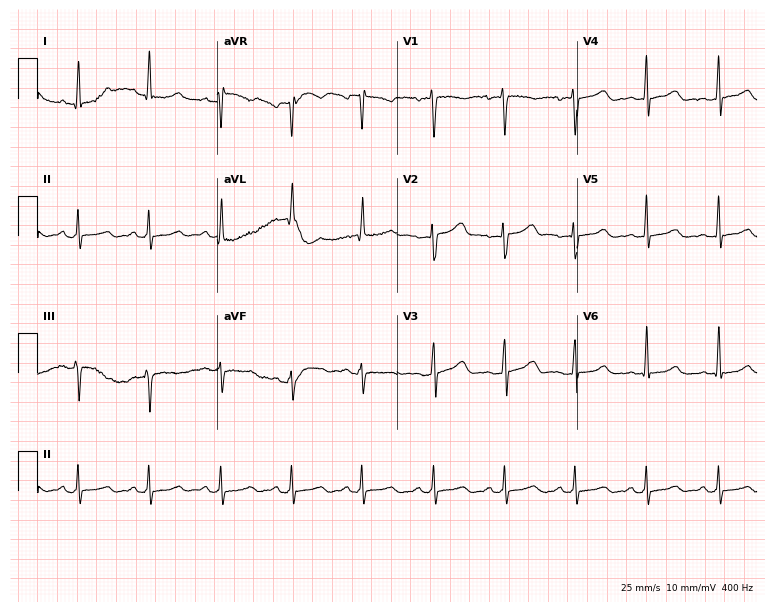
ECG — a woman, 50 years old. Screened for six findings — first-degree AV block, right bundle branch block (RBBB), left bundle branch block (LBBB), sinus bradycardia, atrial fibrillation (AF), sinus tachycardia — none is recorded.